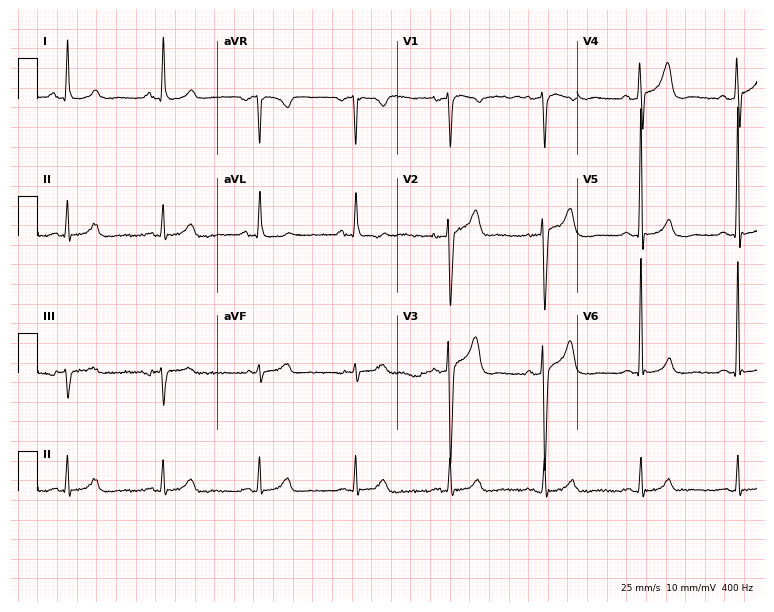
Standard 12-lead ECG recorded from a 56-year-old male. None of these six findings is recorded: first-degree AV block, right bundle branch block (RBBB), left bundle branch block (LBBB), sinus bradycardia, atrial fibrillation (AF), sinus tachycardia. Findings outside these six are not listed.